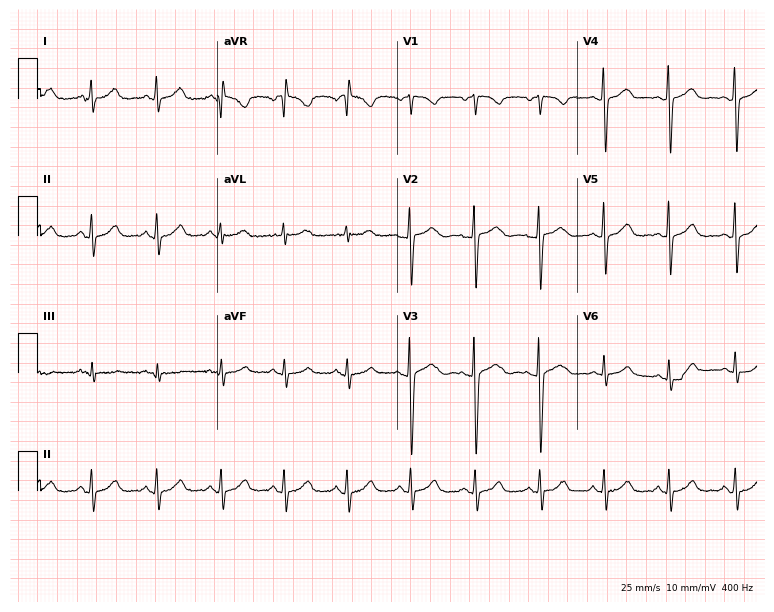
ECG (7.3-second recording at 400 Hz) — a 40-year-old woman. Labelled as a normal ECG.